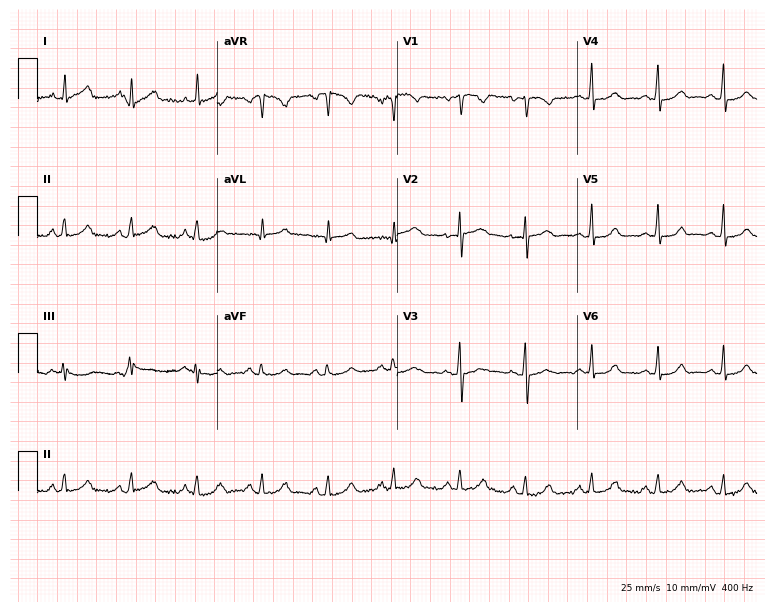
Electrocardiogram, a 36-year-old female patient. Overall reading on record: normal ECG.